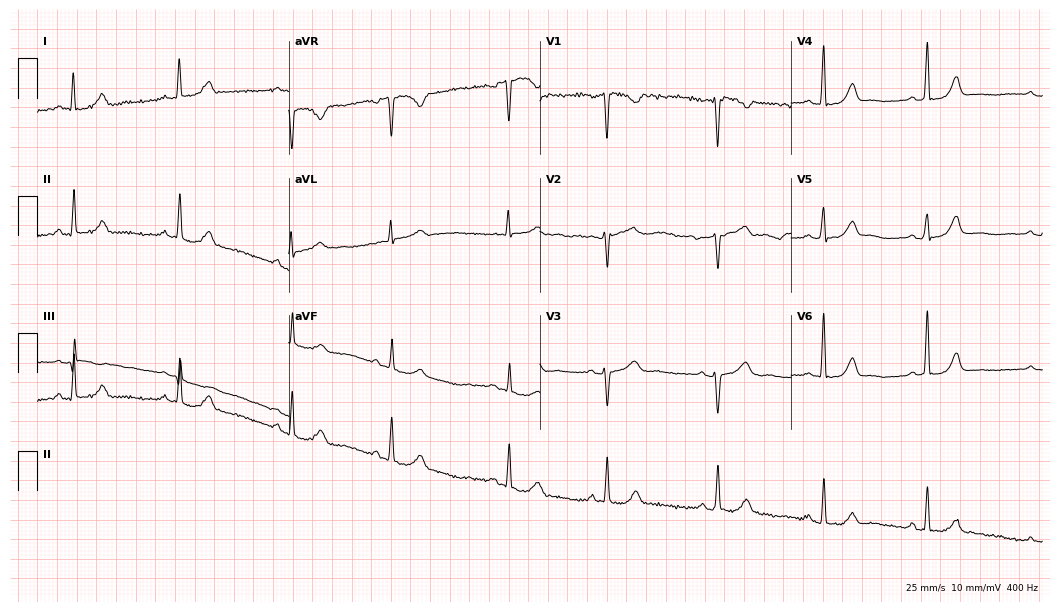
Standard 12-lead ECG recorded from a female patient, 51 years old (10.2-second recording at 400 Hz). Read as a normal ECG.